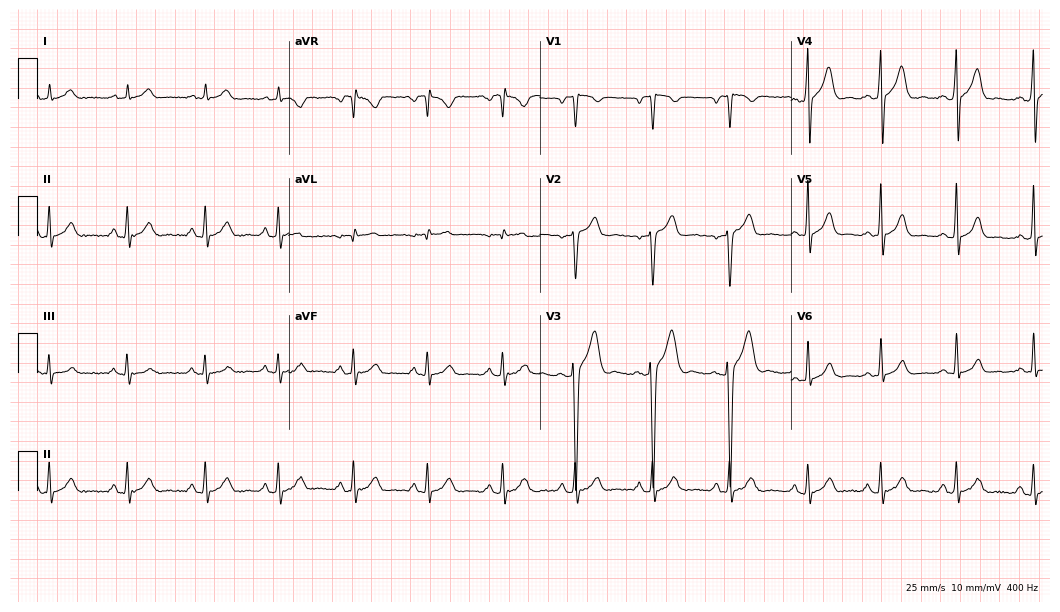
12-lead ECG from a 24-year-old man. Screened for six findings — first-degree AV block, right bundle branch block, left bundle branch block, sinus bradycardia, atrial fibrillation, sinus tachycardia — none is recorded. Other findings, if any, are not listed.